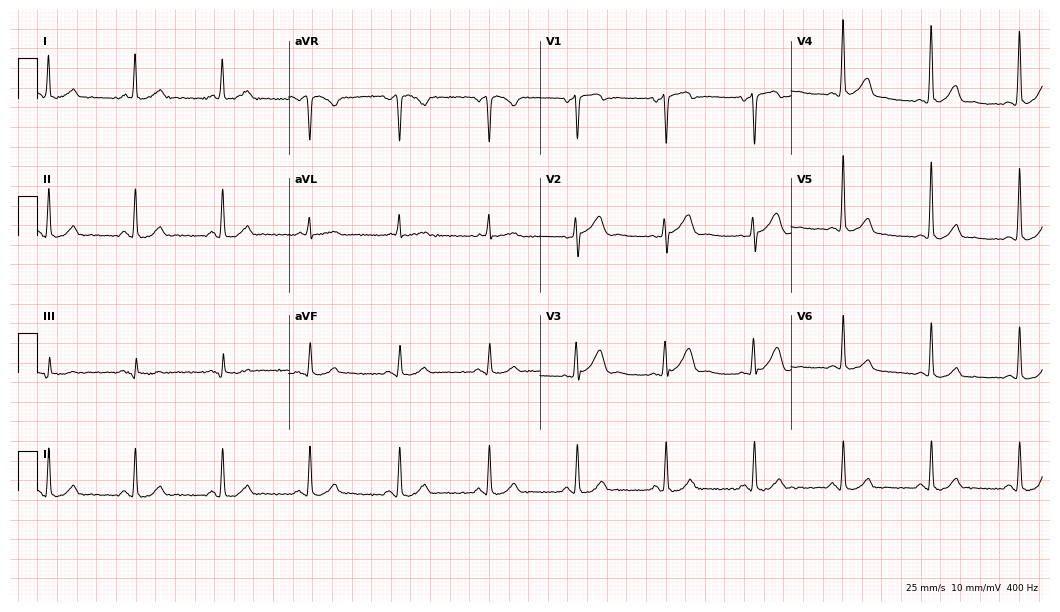
Resting 12-lead electrocardiogram. Patient: a man, 70 years old. Read as a normal ECG.